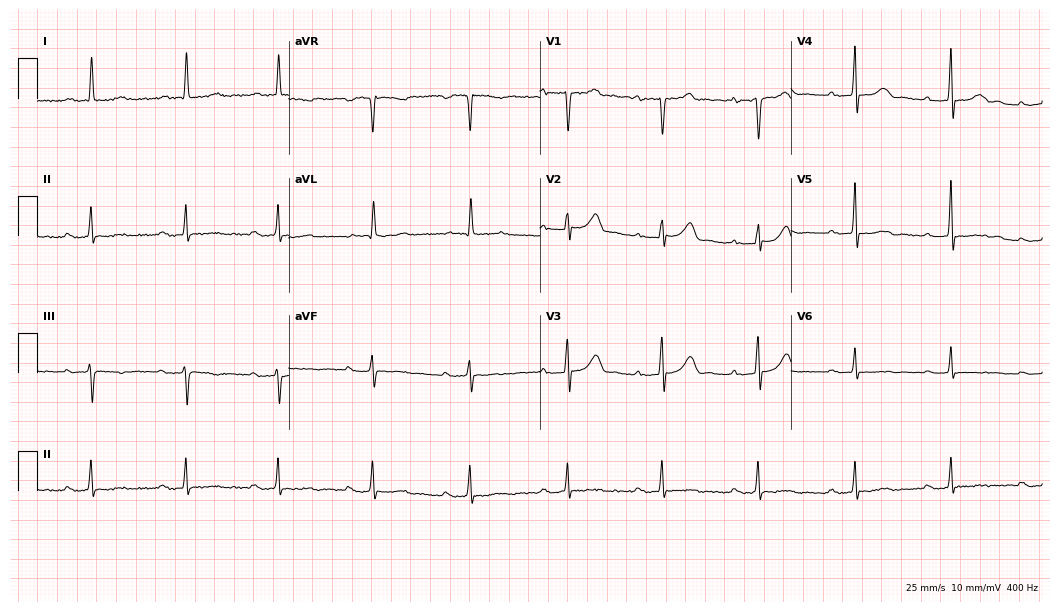
Resting 12-lead electrocardiogram (10.2-second recording at 400 Hz). Patient: a 65-year-old female. The tracing shows first-degree AV block.